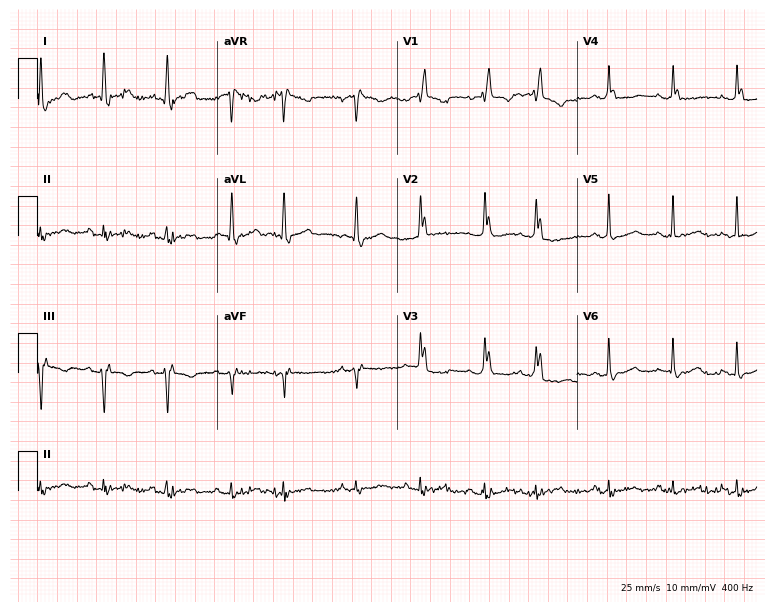
12-lead ECG from a 79-year-old female patient. Shows right bundle branch block (RBBB).